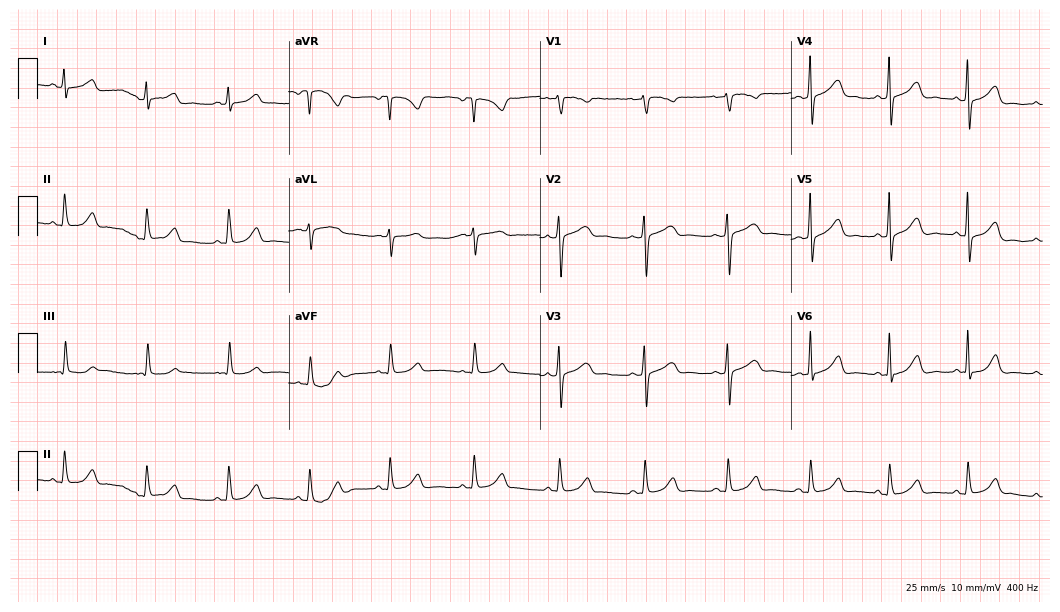
Electrocardiogram (10.2-second recording at 400 Hz), a female, 40 years old. Overall reading on record: normal ECG.